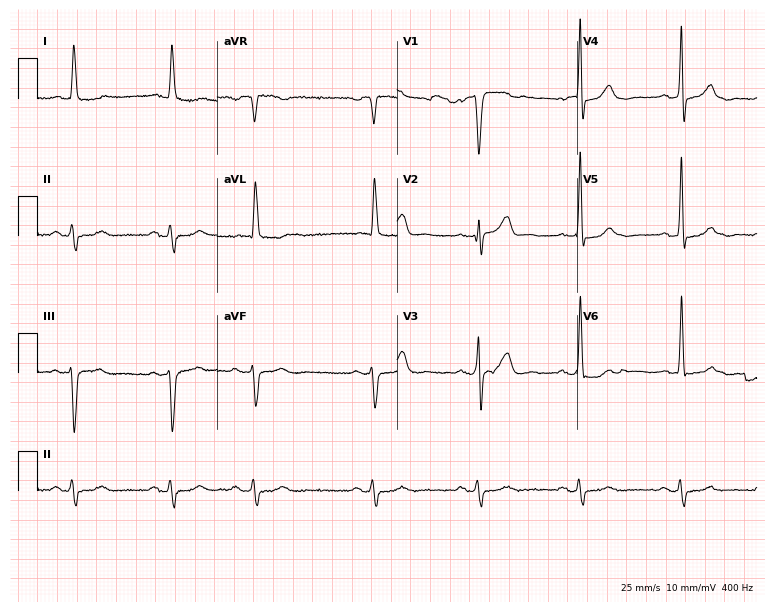
12-lead ECG from an 84-year-old male (7.3-second recording at 400 Hz). No first-degree AV block, right bundle branch block, left bundle branch block, sinus bradycardia, atrial fibrillation or sinus tachycardia recorded for this tracing.